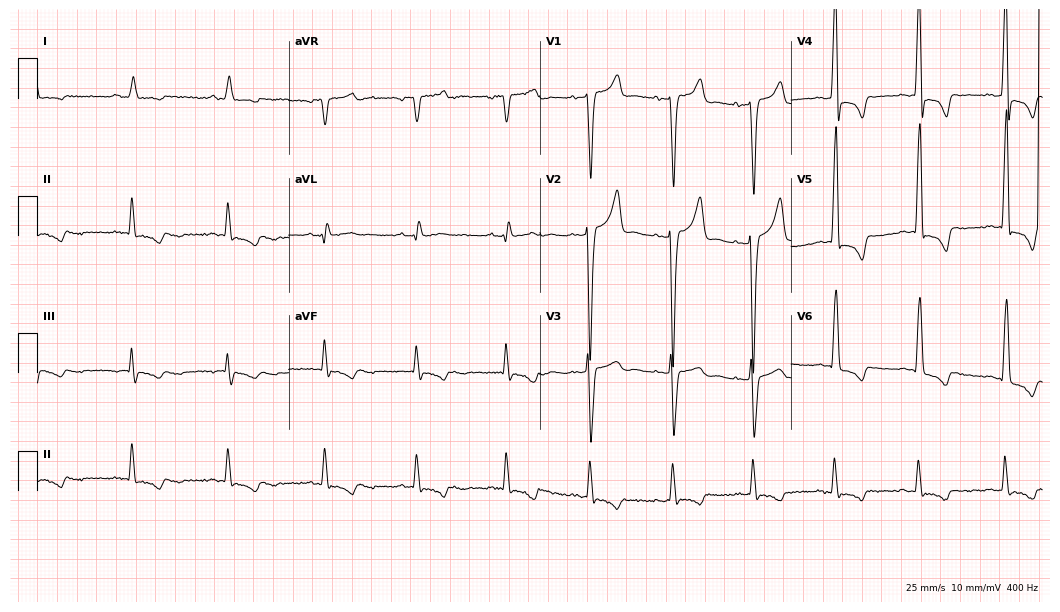
Standard 12-lead ECG recorded from a 49-year-old male. None of these six findings is recorded: first-degree AV block, right bundle branch block, left bundle branch block, sinus bradycardia, atrial fibrillation, sinus tachycardia.